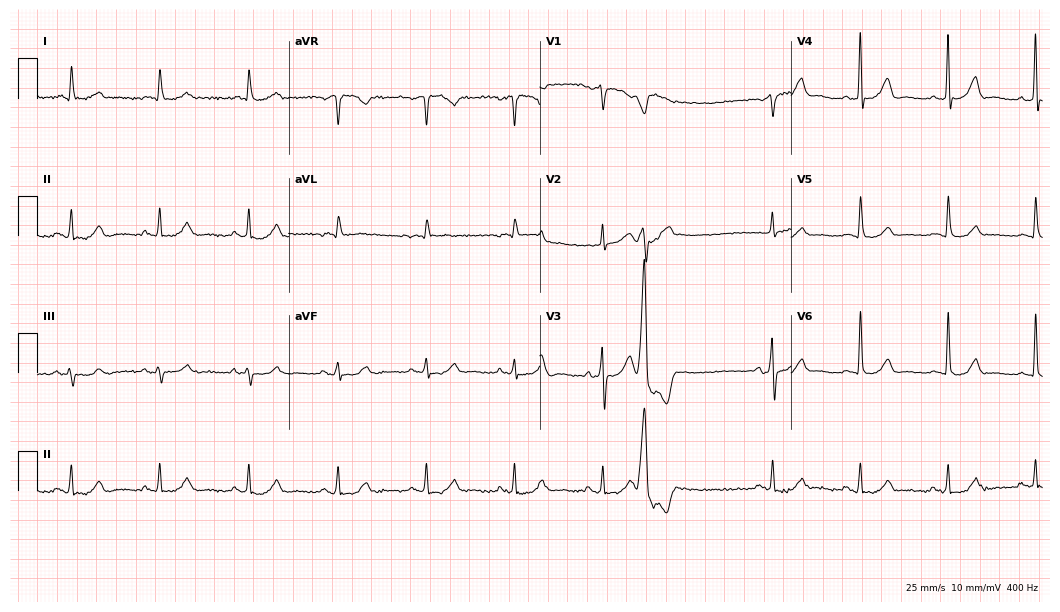
Standard 12-lead ECG recorded from an 82-year-old man (10.2-second recording at 400 Hz). None of these six findings is recorded: first-degree AV block, right bundle branch block, left bundle branch block, sinus bradycardia, atrial fibrillation, sinus tachycardia. Only these six findings were labelled.